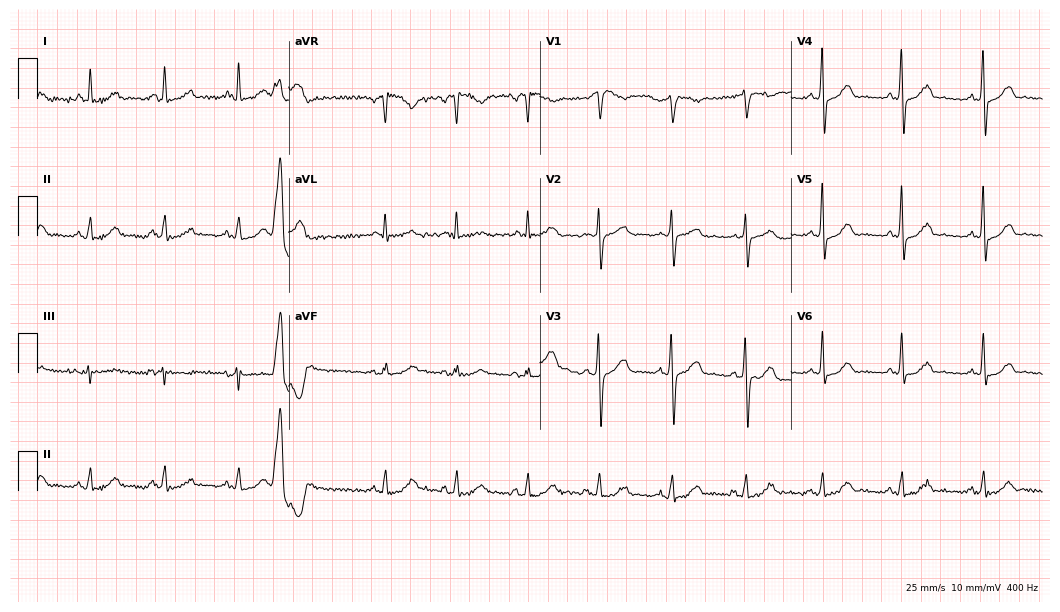
Standard 12-lead ECG recorded from a male, 60 years old. None of these six findings is recorded: first-degree AV block, right bundle branch block (RBBB), left bundle branch block (LBBB), sinus bradycardia, atrial fibrillation (AF), sinus tachycardia.